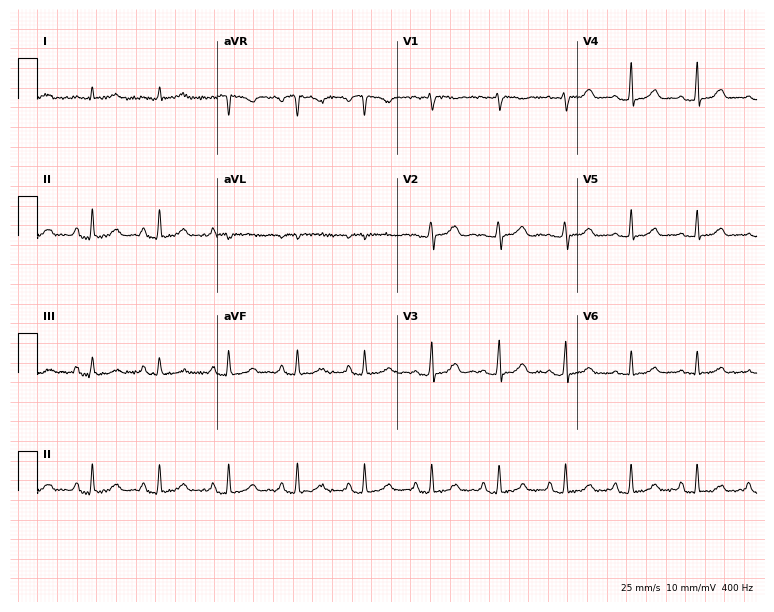
Standard 12-lead ECG recorded from a 41-year-old female patient (7.3-second recording at 400 Hz). None of these six findings is recorded: first-degree AV block, right bundle branch block, left bundle branch block, sinus bradycardia, atrial fibrillation, sinus tachycardia.